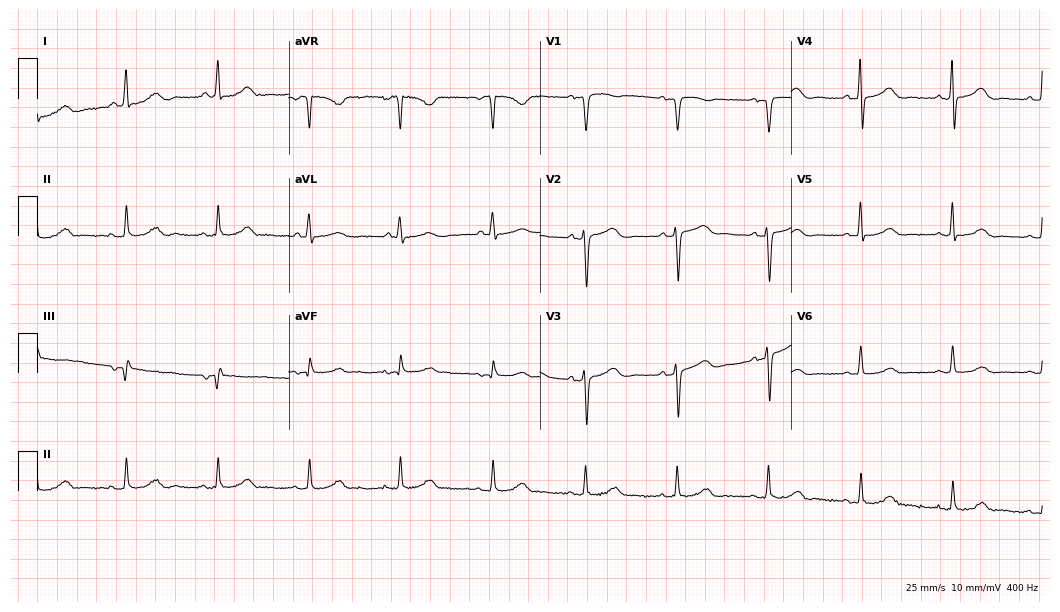
12-lead ECG from a female, 65 years old (10.2-second recording at 400 Hz). No first-degree AV block, right bundle branch block, left bundle branch block, sinus bradycardia, atrial fibrillation or sinus tachycardia recorded for this tracing. Only these six findings were labelled.